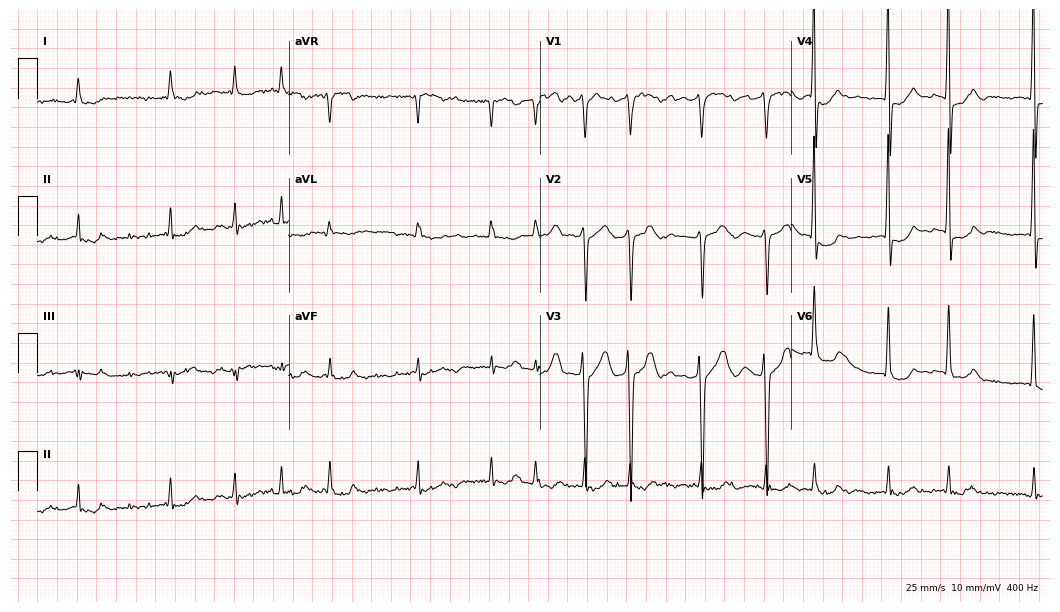
ECG (10.2-second recording at 400 Hz) — a 74-year-old male. Findings include atrial fibrillation.